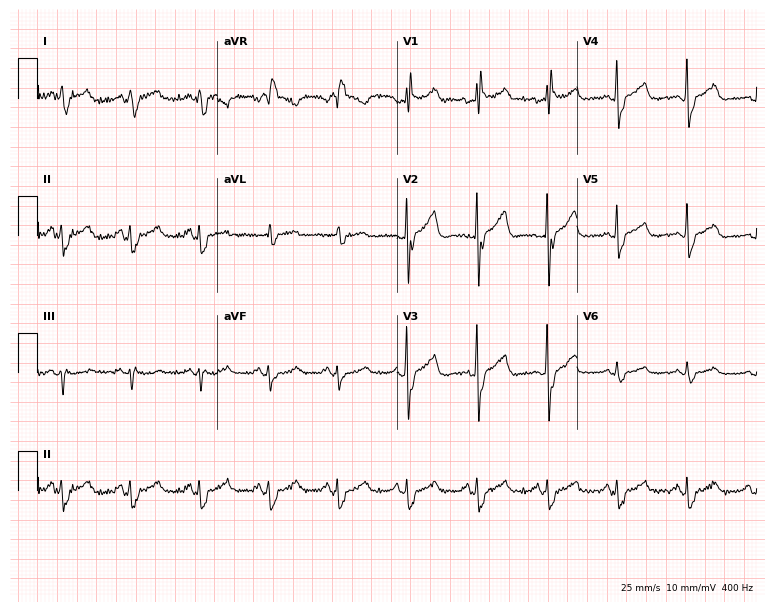
12-lead ECG from a 67-year-old female. Shows right bundle branch block.